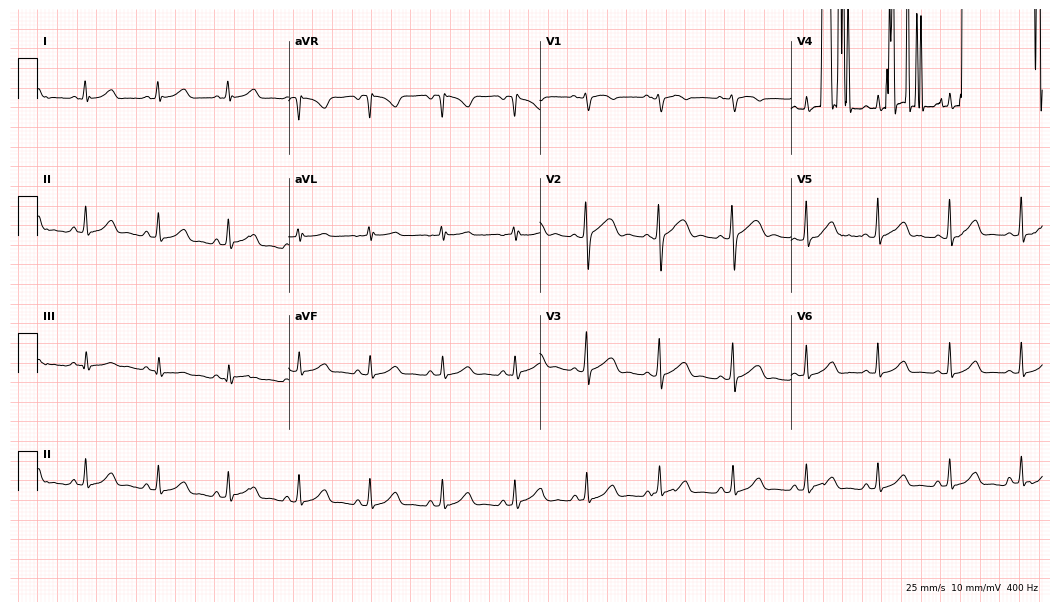
Electrocardiogram, a woman, 32 years old. Of the six screened findings (first-degree AV block, right bundle branch block, left bundle branch block, sinus bradycardia, atrial fibrillation, sinus tachycardia), none is recorded.